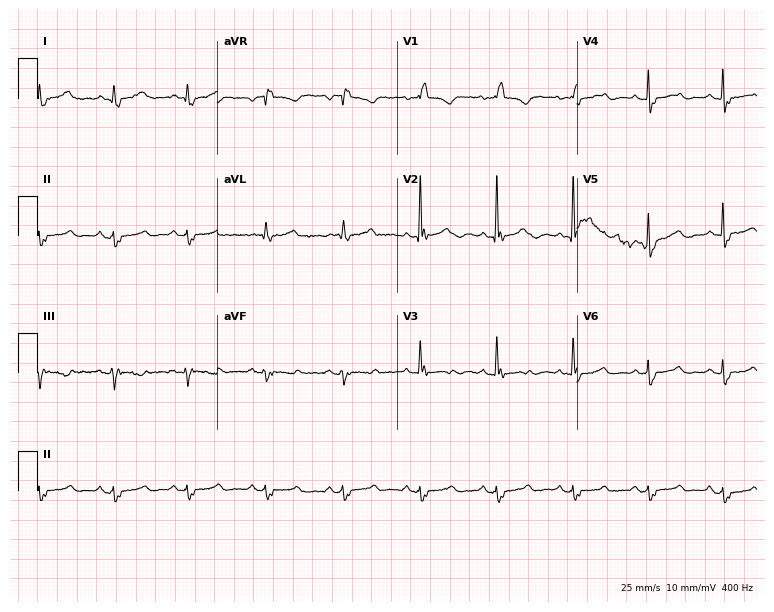
Standard 12-lead ECG recorded from an 85-year-old female patient. None of these six findings is recorded: first-degree AV block, right bundle branch block, left bundle branch block, sinus bradycardia, atrial fibrillation, sinus tachycardia.